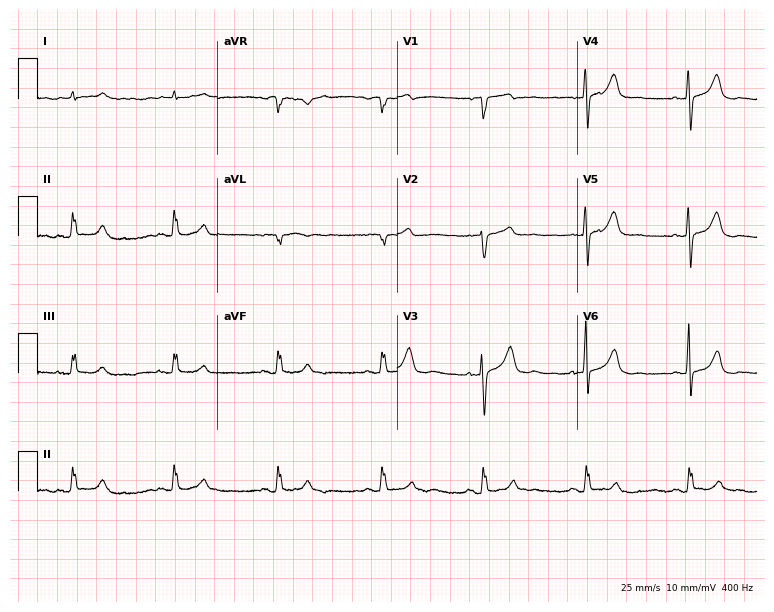
12-lead ECG from a male patient, 69 years old (7.3-second recording at 400 Hz). No first-degree AV block, right bundle branch block, left bundle branch block, sinus bradycardia, atrial fibrillation or sinus tachycardia recorded for this tracing.